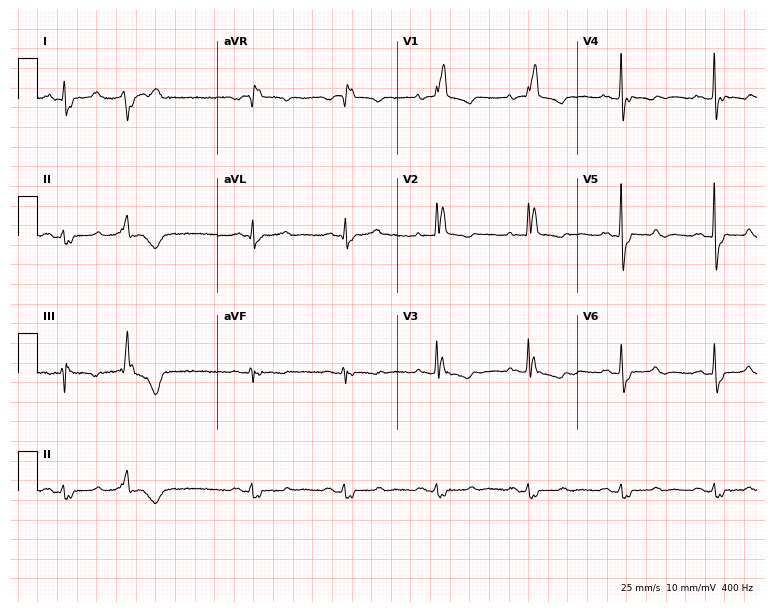
12-lead ECG from a 58-year-old female patient (7.3-second recording at 400 Hz). Shows right bundle branch block.